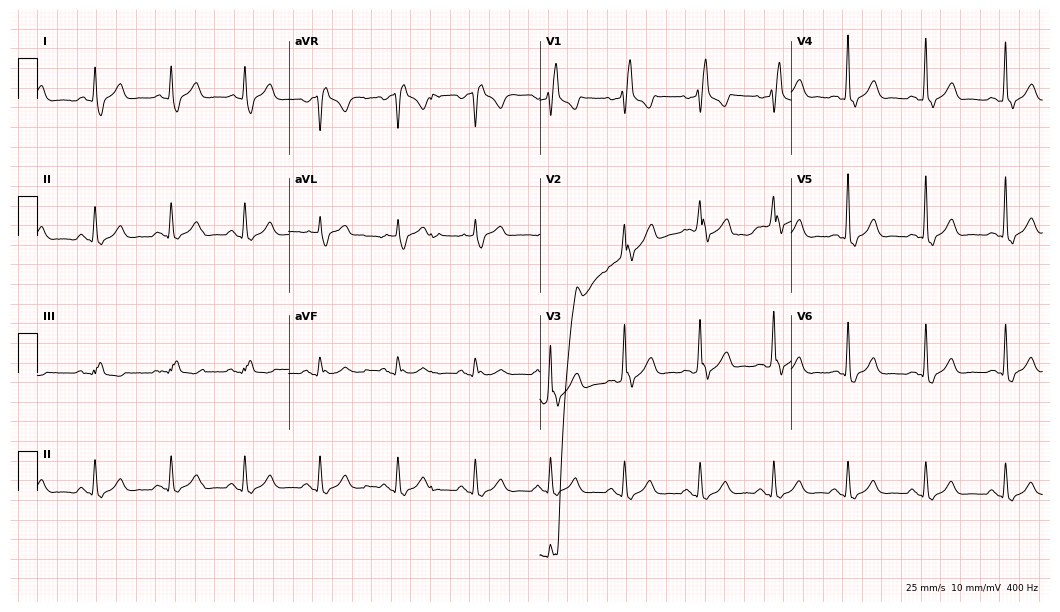
12-lead ECG from a man, 61 years old. Shows right bundle branch block.